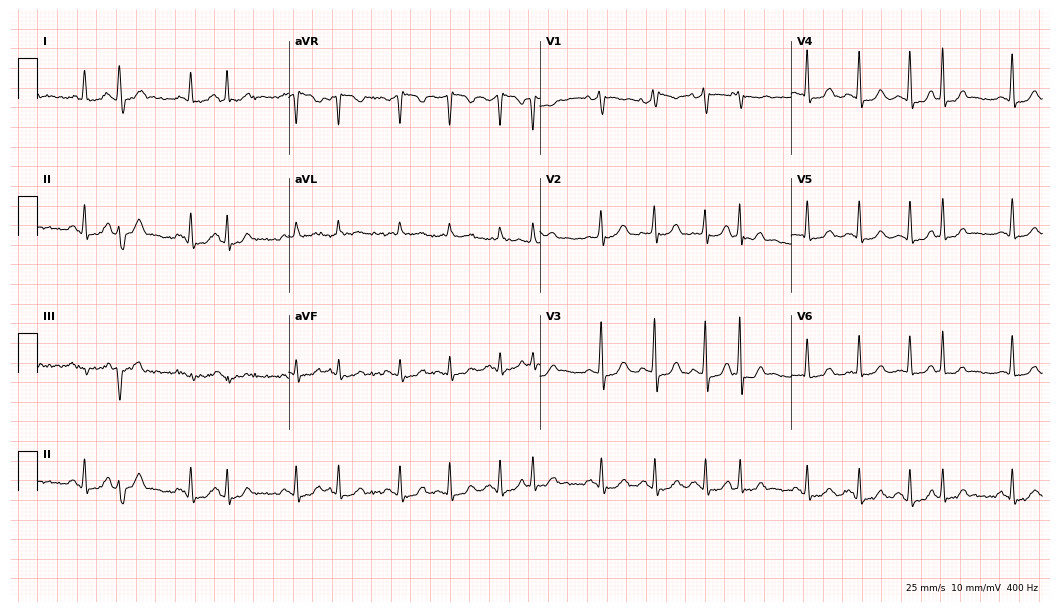
12-lead ECG from a 69-year-old female (10.2-second recording at 400 Hz). Shows atrial fibrillation (AF).